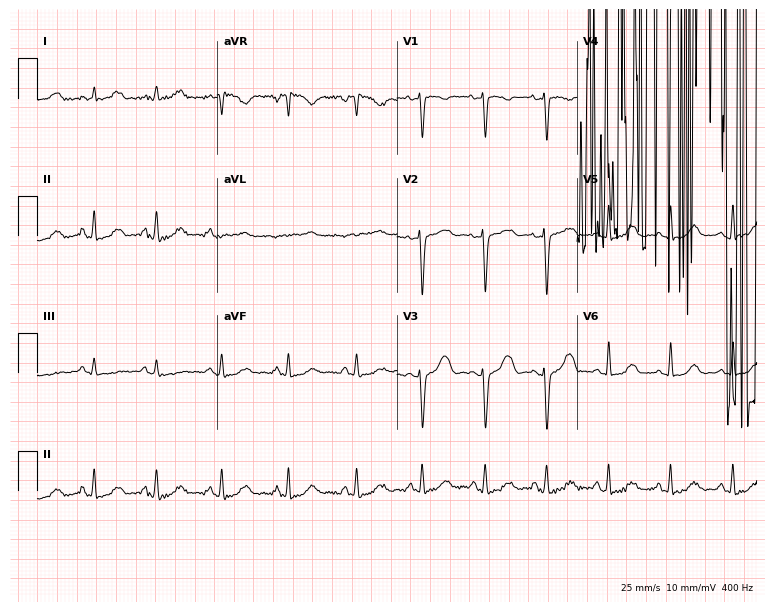
Standard 12-lead ECG recorded from a woman, 29 years old. None of these six findings is recorded: first-degree AV block, right bundle branch block (RBBB), left bundle branch block (LBBB), sinus bradycardia, atrial fibrillation (AF), sinus tachycardia. Only these six findings were labelled.